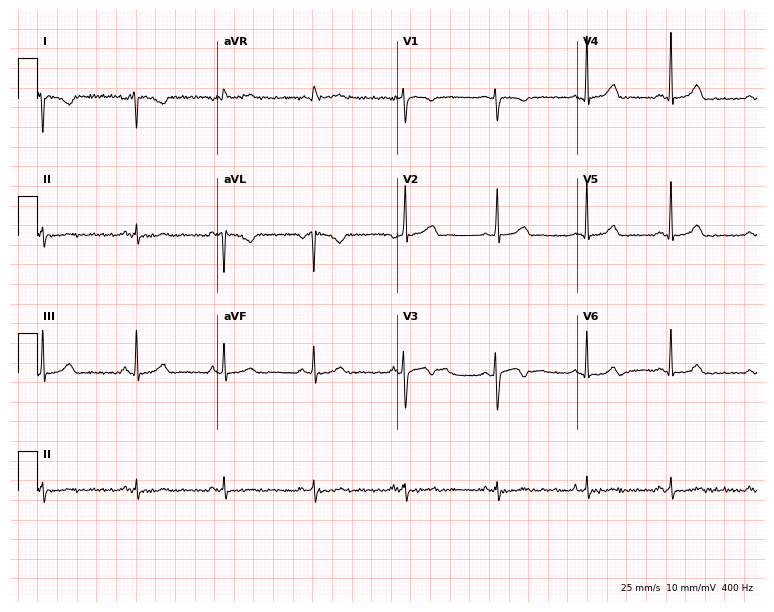
12-lead ECG from a 33-year-old woman. Screened for six findings — first-degree AV block, right bundle branch block, left bundle branch block, sinus bradycardia, atrial fibrillation, sinus tachycardia — none is recorded. Other findings, if any, are not listed.